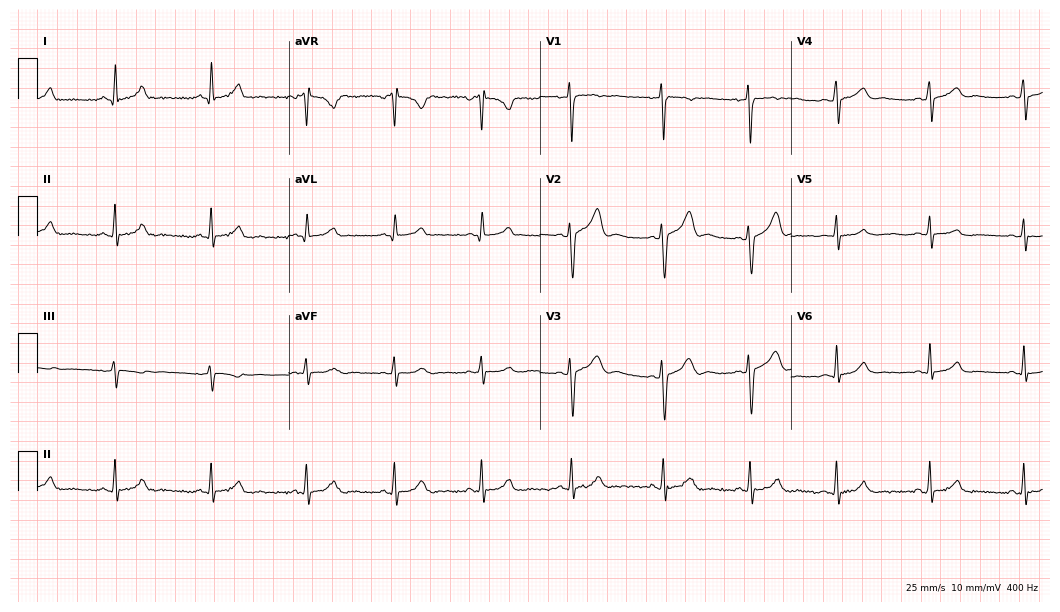
Resting 12-lead electrocardiogram (10.2-second recording at 400 Hz). Patient: a 23-year-old female. Read as a normal ECG.